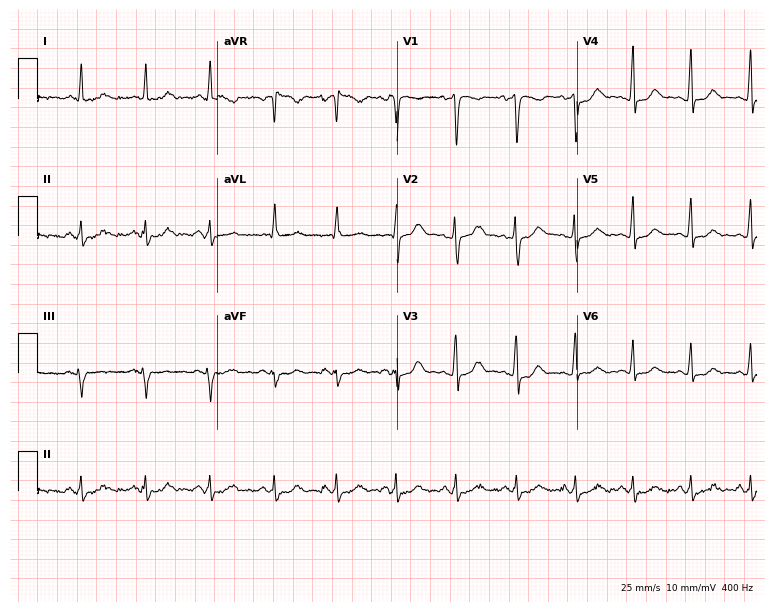
Electrocardiogram (7.3-second recording at 400 Hz), a female, 40 years old. Overall reading on record: normal ECG.